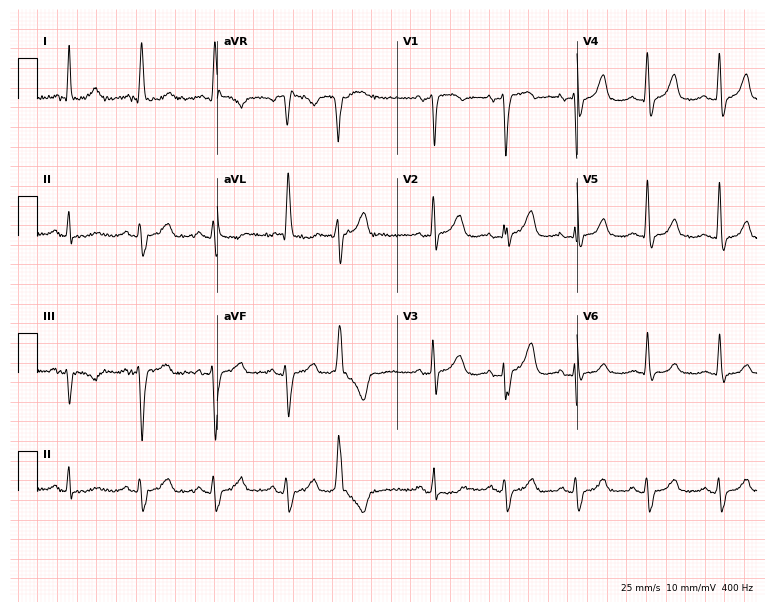
Resting 12-lead electrocardiogram. Patient: a female, 73 years old. None of these six findings is recorded: first-degree AV block, right bundle branch block, left bundle branch block, sinus bradycardia, atrial fibrillation, sinus tachycardia.